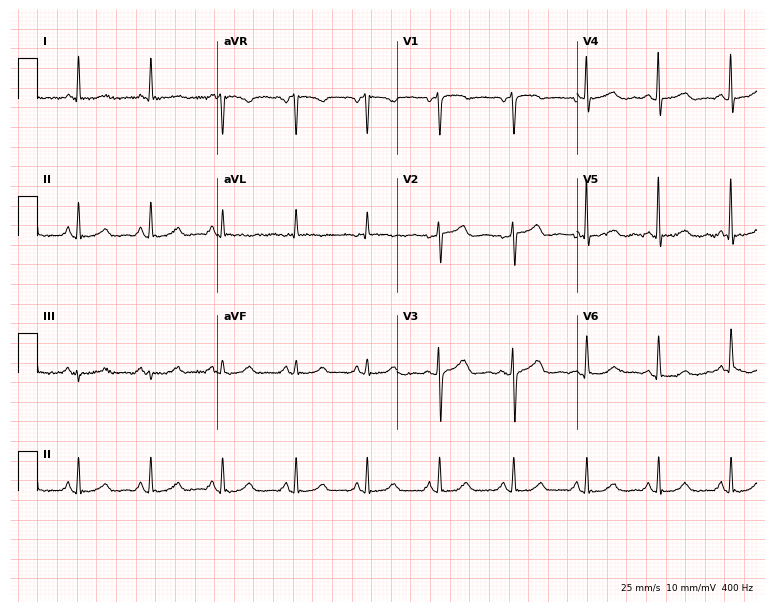
Resting 12-lead electrocardiogram. Patient: a 72-year-old woman. Read as a normal ECG.